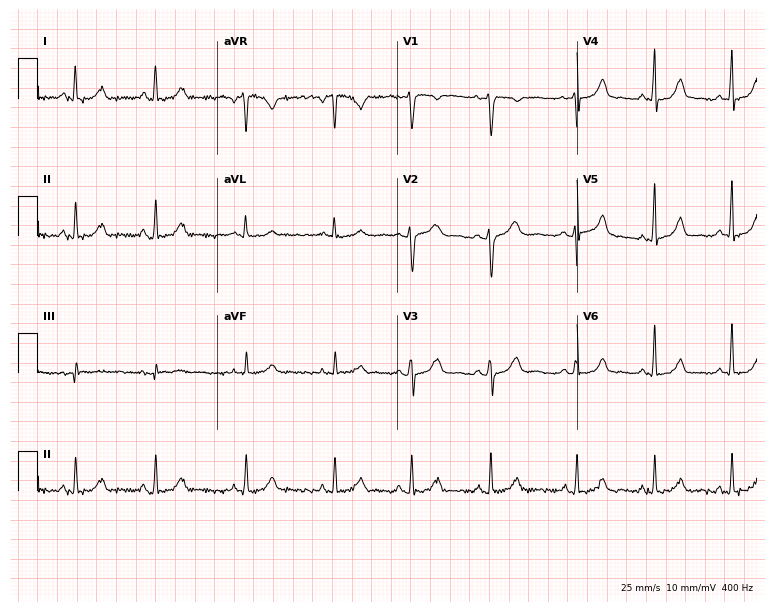
ECG (7.3-second recording at 400 Hz) — a 28-year-old female. Screened for six findings — first-degree AV block, right bundle branch block, left bundle branch block, sinus bradycardia, atrial fibrillation, sinus tachycardia — none is recorded.